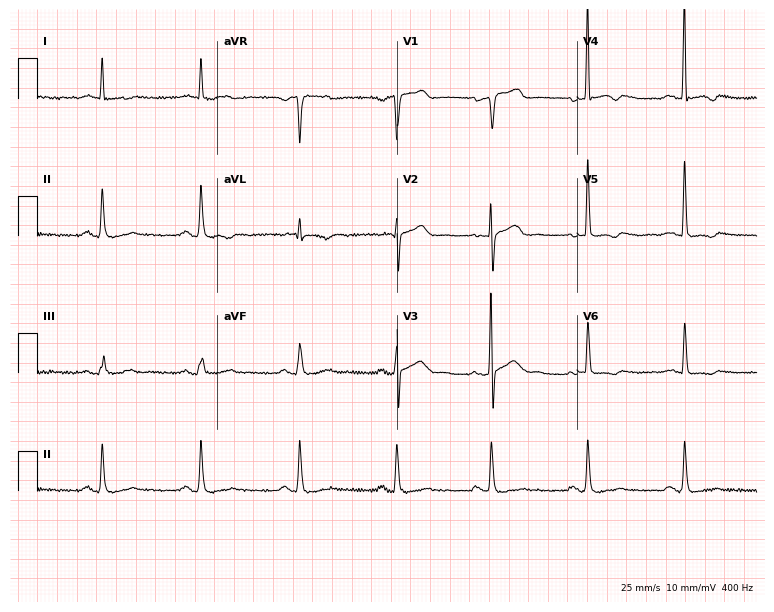
Electrocardiogram (7.3-second recording at 400 Hz), a 62-year-old male. Of the six screened findings (first-degree AV block, right bundle branch block, left bundle branch block, sinus bradycardia, atrial fibrillation, sinus tachycardia), none is recorded. Only these six findings were labelled.